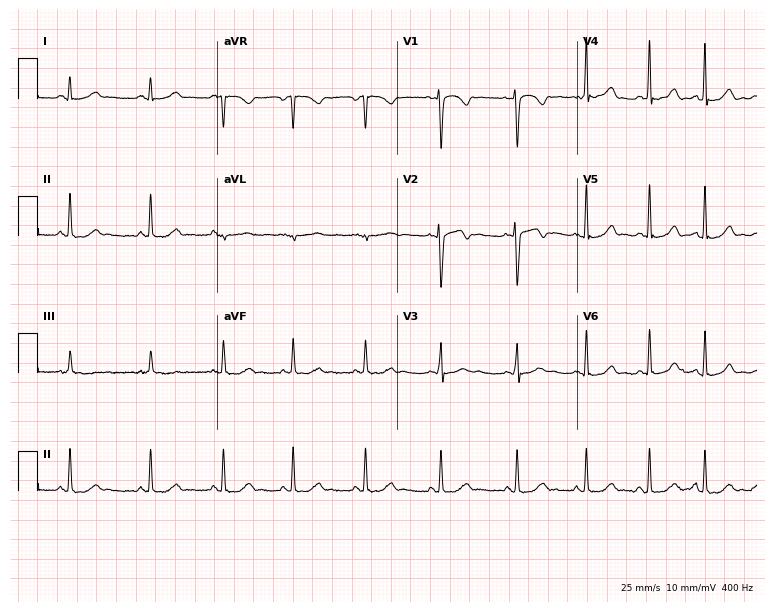
Resting 12-lead electrocardiogram (7.3-second recording at 400 Hz). Patient: a female, 20 years old. Read as a normal ECG.